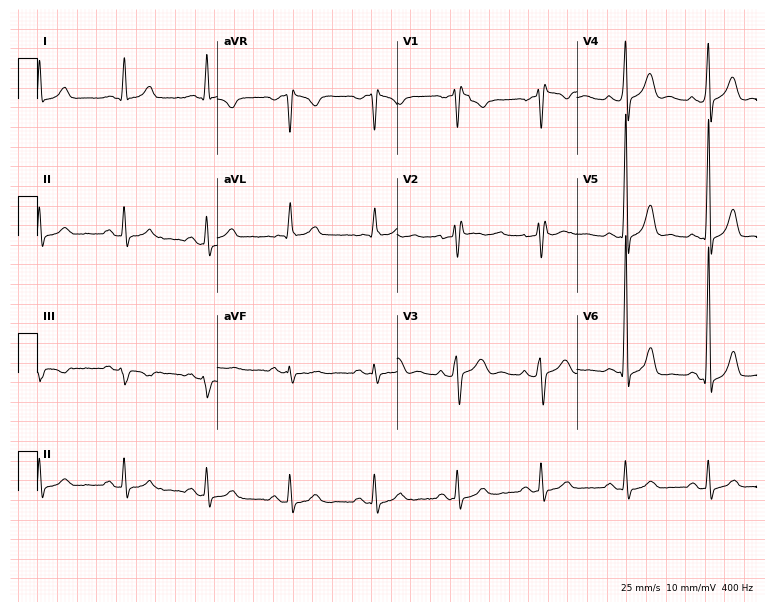
Electrocardiogram, a 48-year-old male patient. Of the six screened findings (first-degree AV block, right bundle branch block, left bundle branch block, sinus bradycardia, atrial fibrillation, sinus tachycardia), none is recorded.